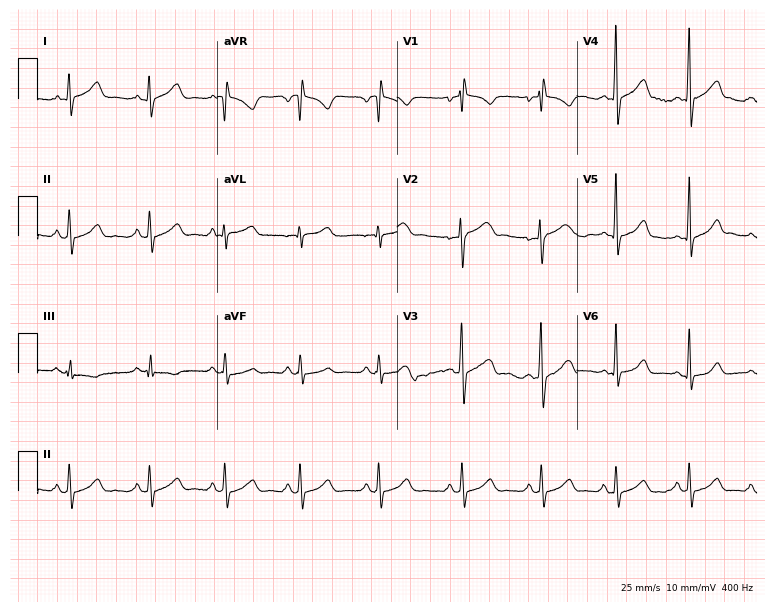
12-lead ECG from a 24-year-old man. No first-degree AV block, right bundle branch block, left bundle branch block, sinus bradycardia, atrial fibrillation or sinus tachycardia recorded for this tracing. Other findings, if any, are not listed.